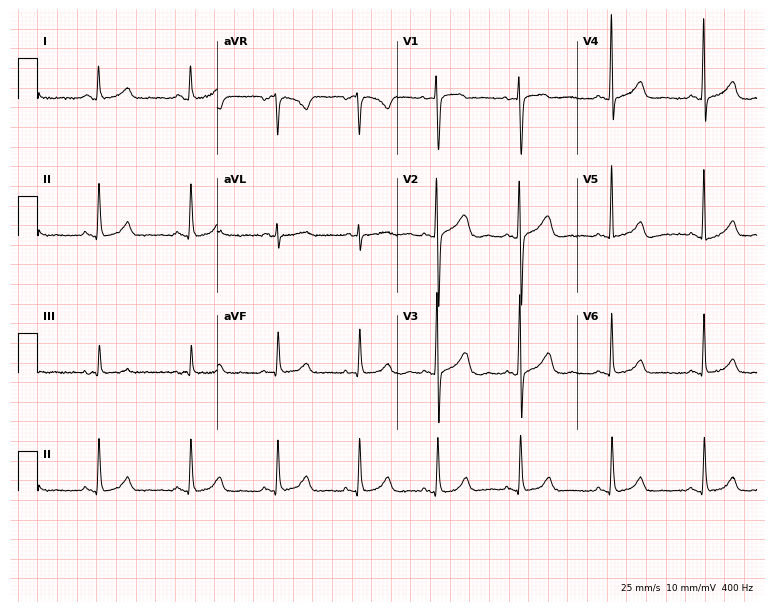
Electrocardiogram, a woman, 37 years old. Overall reading on record: normal ECG.